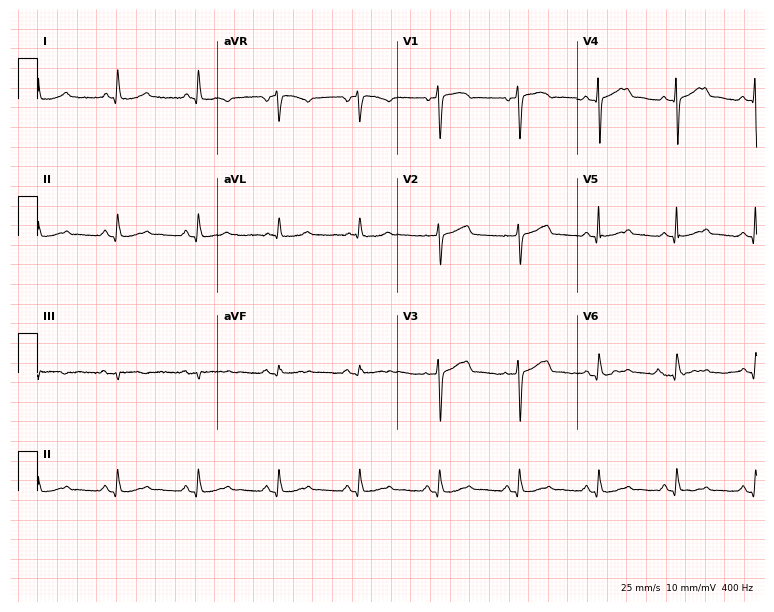
Electrocardiogram, a 65-year-old woman. Of the six screened findings (first-degree AV block, right bundle branch block, left bundle branch block, sinus bradycardia, atrial fibrillation, sinus tachycardia), none is recorded.